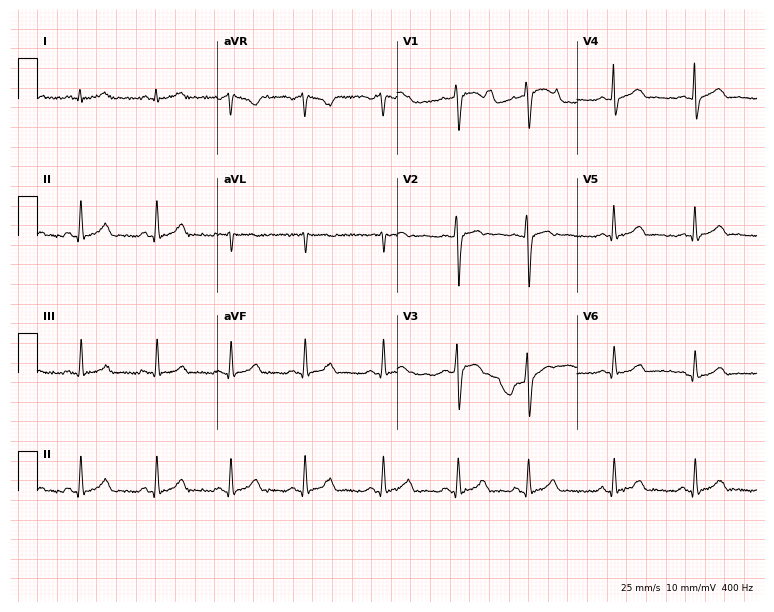
Electrocardiogram, a 32-year-old woman. Overall reading on record: normal ECG.